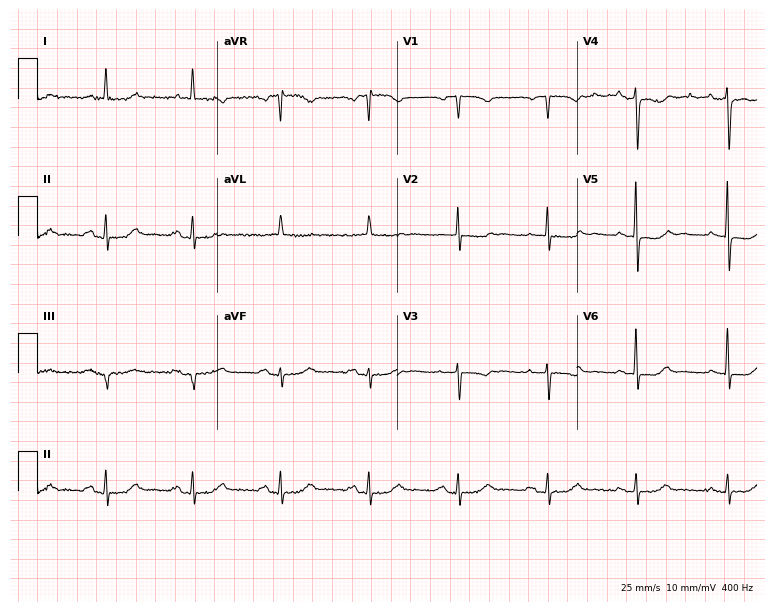
Standard 12-lead ECG recorded from a 72-year-old female (7.3-second recording at 400 Hz). None of these six findings is recorded: first-degree AV block, right bundle branch block, left bundle branch block, sinus bradycardia, atrial fibrillation, sinus tachycardia. Only these six findings were labelled.